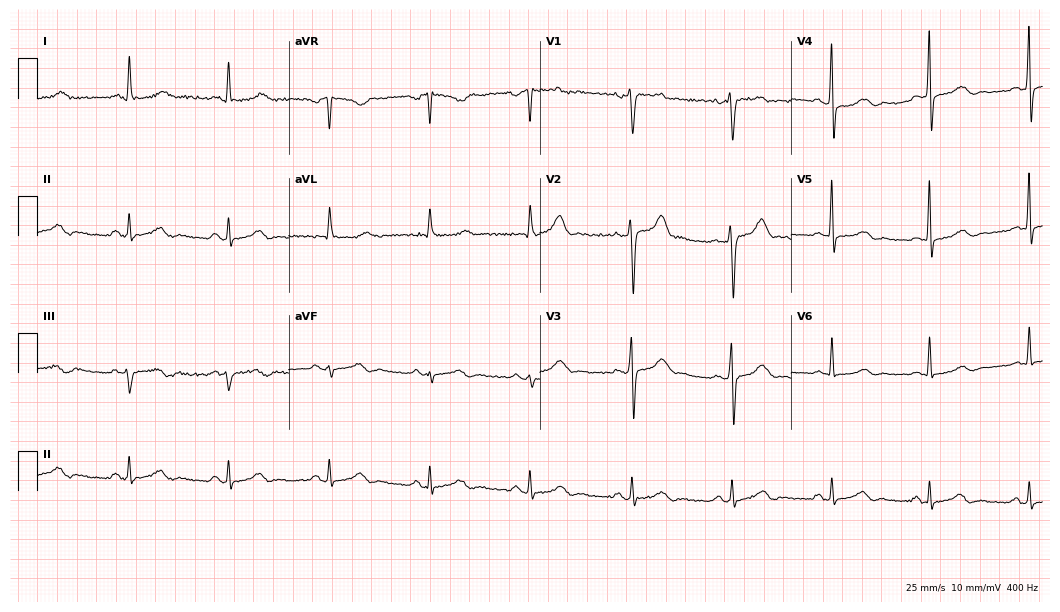
Resting 12-lead electrocardiogram (10.2-second recording at 400 Hz). Patient: a man, 51 years old. Read as a normal ECG.